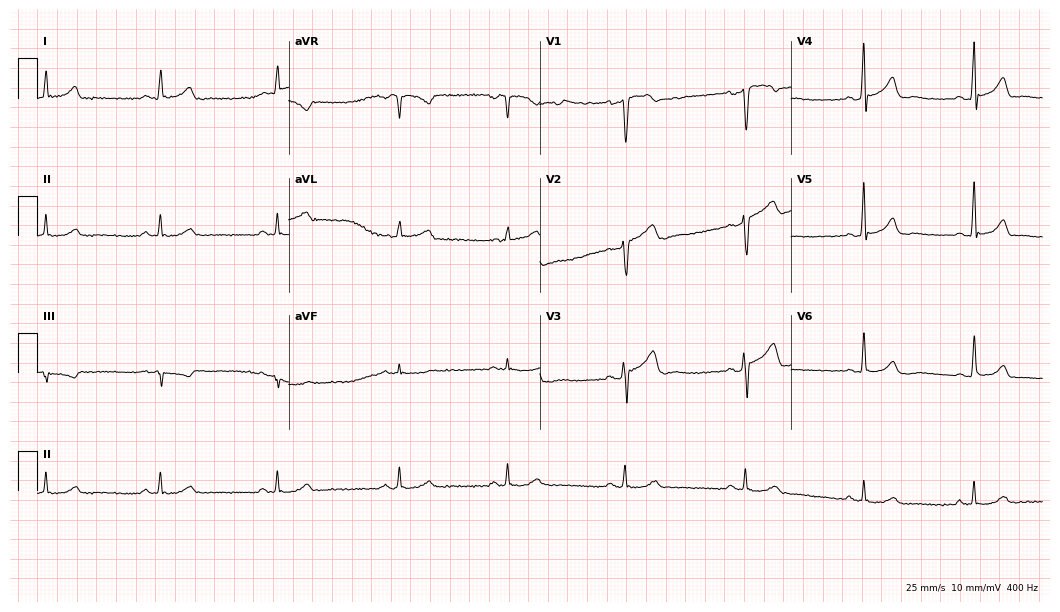
Electrocardiogram, a 43-year-old male patient. Interpretation includes sinus bradycardia (a sinus rate of 50 beats per minute or less).